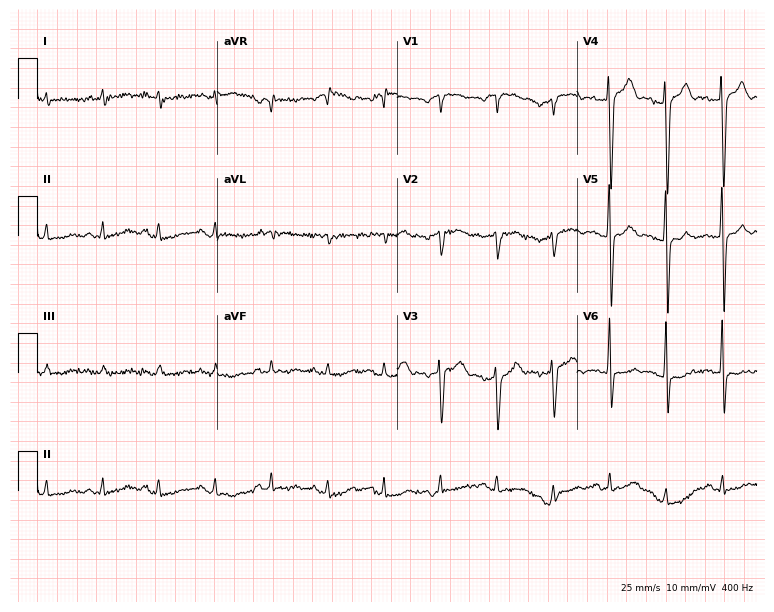
Electrocardiogram (7.3-second recording at 400 Hz), an 81-year-old female patient. Of the six screened findings (first-degree AV block, right bundle branch block, left bundle branch block, sinus bradycardia, atrial fibrillation, sinus tachycardia), none is recorded.